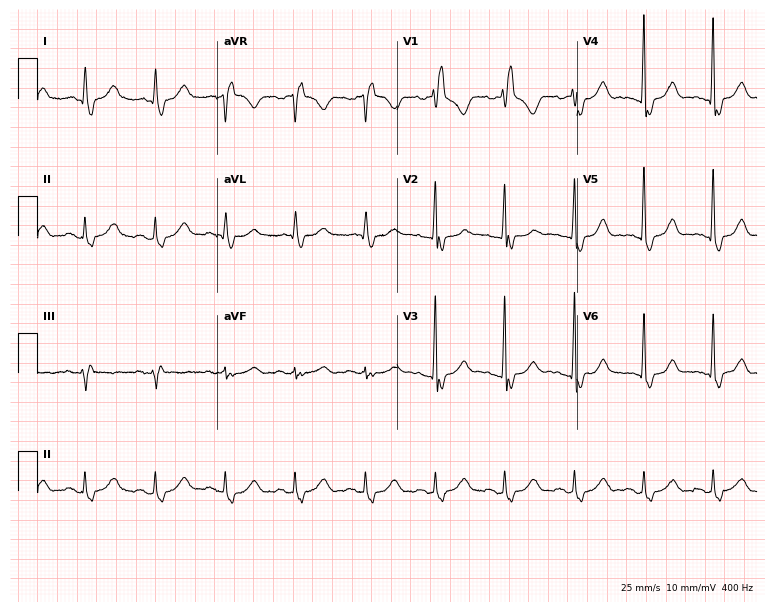
Standard 12-lead ECG recorded from a 48-year-old female patient. The tracing shows right bundle branch block.